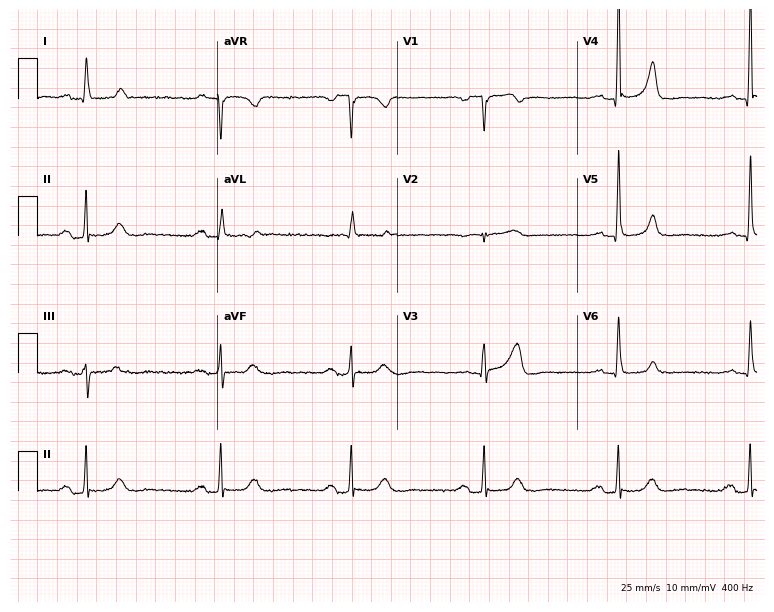
Electrocardiogram, a male patient, 85 years old. Interpretation includes first-degree AV block, sinus bradycardia (a sinus rate of 50 beats per minute or less).